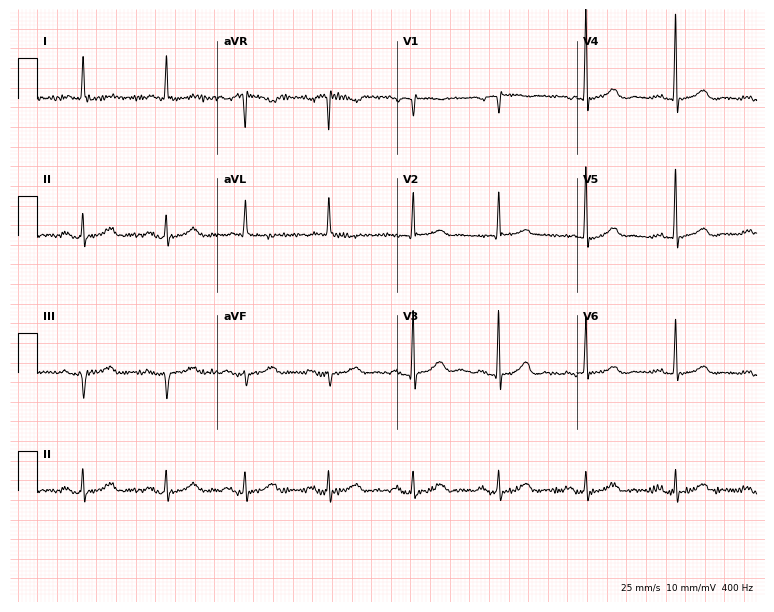
12-lead ECG (7.3-second recording at 400 Hz) from a woman, 85 years old. Labelled as a normal ECG.